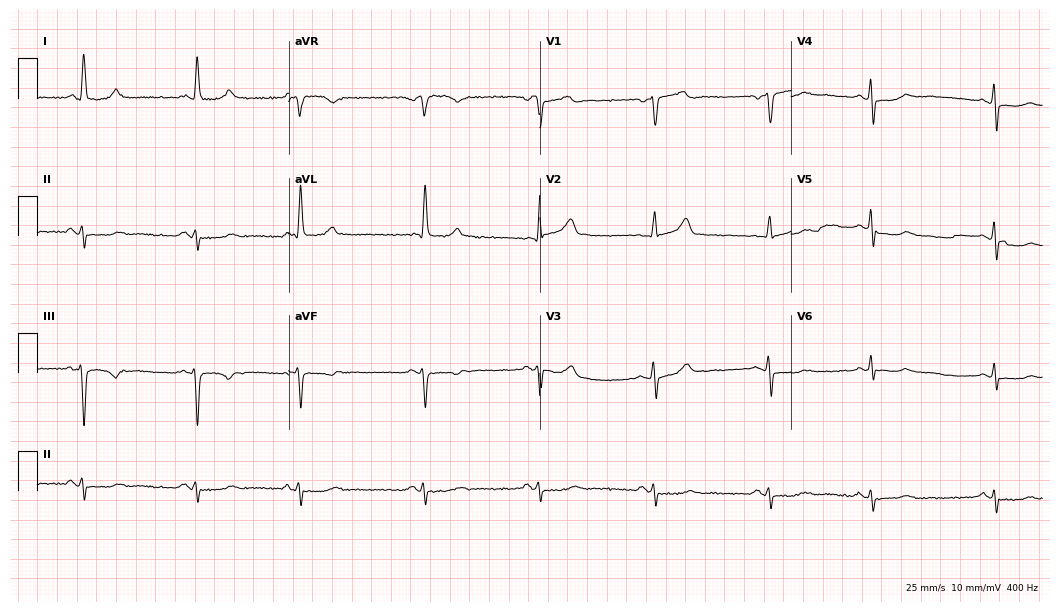
Electrocardiogram, a female, 76 years old. Of the six screened findings (first-degree AV block, right bundle branch block (RBBB), left bundle branch block (LBBB), sinus bradycardia, atrial fibrillation (AF), sinus tachycardia), none is recorded. Findings outside these six are not listed.